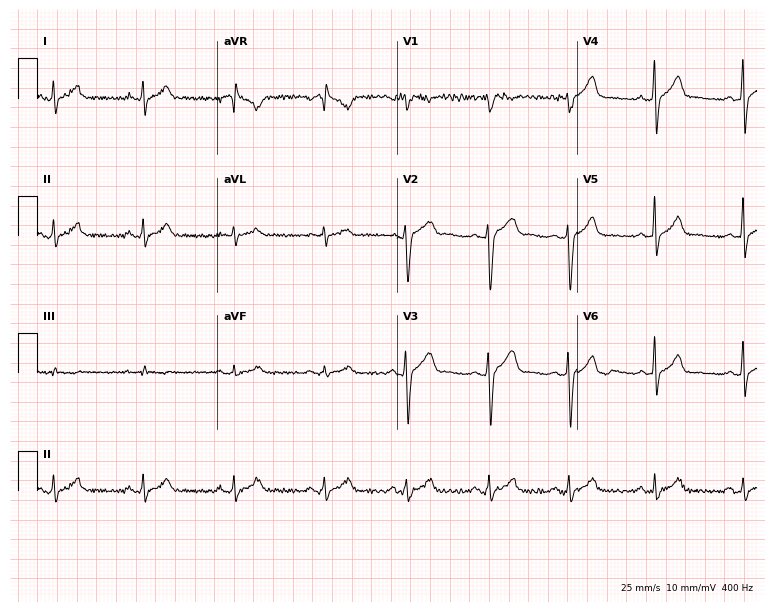
ECG — a 27-year-old male patient. Screened for six findings — first-degree AV block, right bundle branch block (RBBB), left bundle branch block (LBBB), sinus bradycardia, atrial fibrillation (AF), sinus tachycardia — none is recorded.